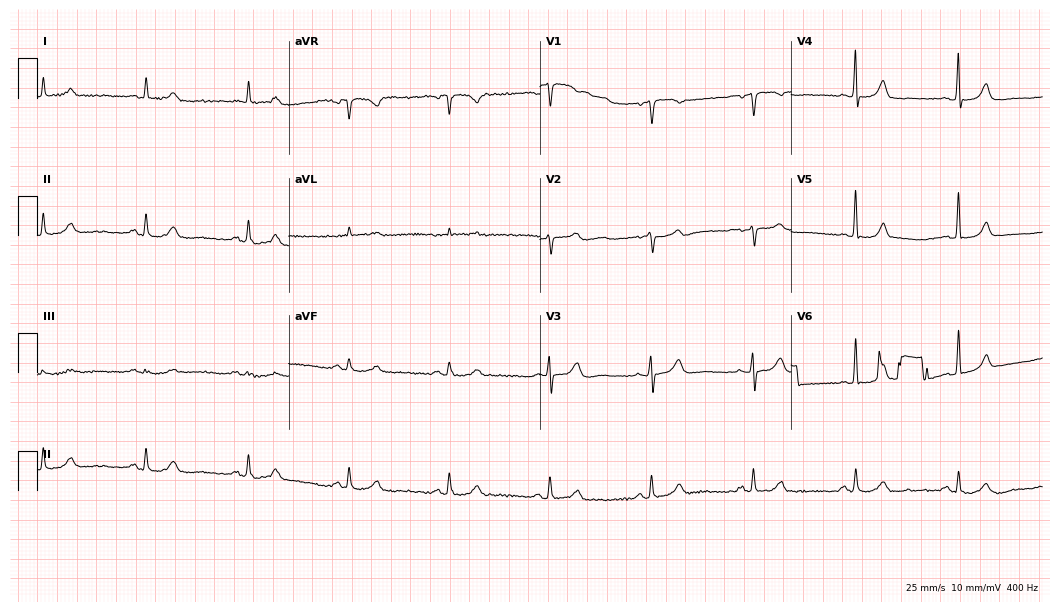
ECG (10.2-second recording at 400 Hz) — a 74-year-old female patient. Screened for six findings — first-degree AV block, right bundle branch block, left bundle branch block, sinus bradycardia, atrial fibrillation, sinus tachycardia — none is recorded.